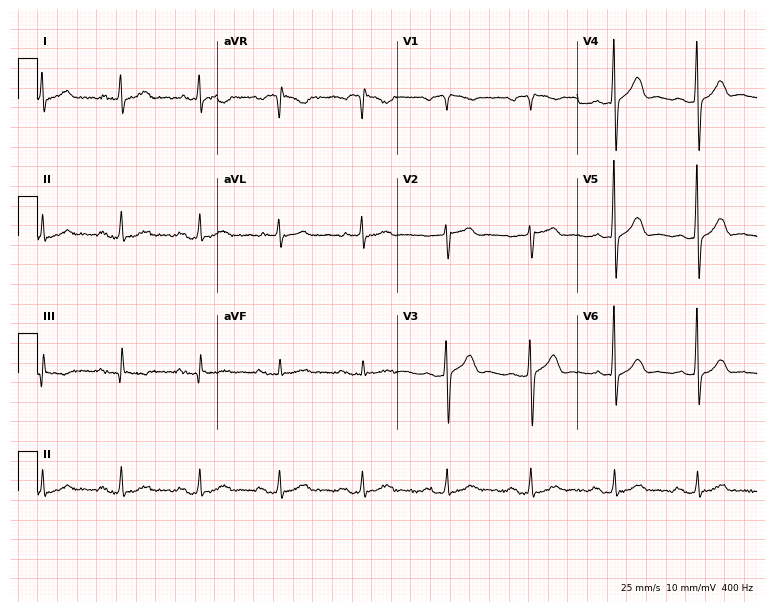
Standard 12-lead ECG recorded from a male patient, 69 years old (7.3-second recording at 400 Hz). None of these six findings is recorded: first-degree AV block, right bundle branch block (RBBB), left bundle branch block (LBBB), sinus bradycardia, atrial fibrillation (AF), sinus tachycardia. Other findings, if any, are not listed.